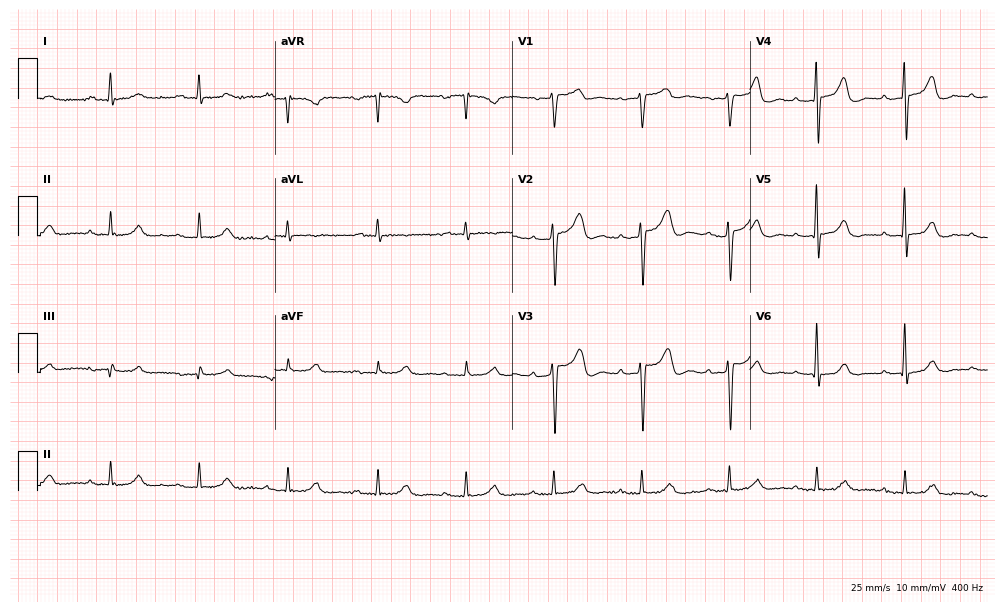
Resting 12-lead electrocardiogram. Patient: an 80-year-old male. None of these six findings is recorded: first-degree AV block, right bundle branch block (RBBB), left bundle branch block (LBBB), sinus bradycardia, atrial fibrillation (AF), sinus tachycardia.